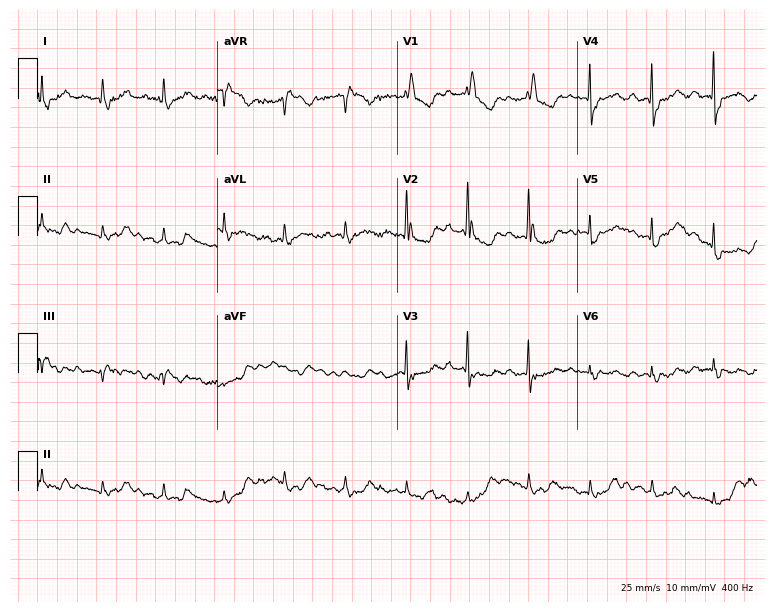
Standard 12-lead ECG recorded from a female, 78 years old. None of these six findings is recorded: first-degree AV block, right bundle branch block (RBBB), left bundle branch block (LBBB), sinus bradycardia, atrial fibrillation (AF), sinus tachycardia.